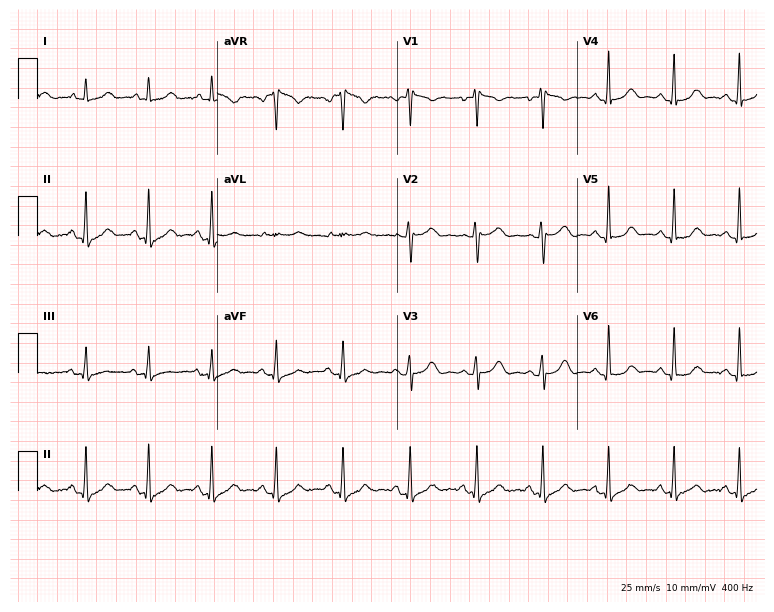
12-lead ECG (7.3-second recording at 400 Hz) from a 50-year-old woman. Labelled as a normal ECG.